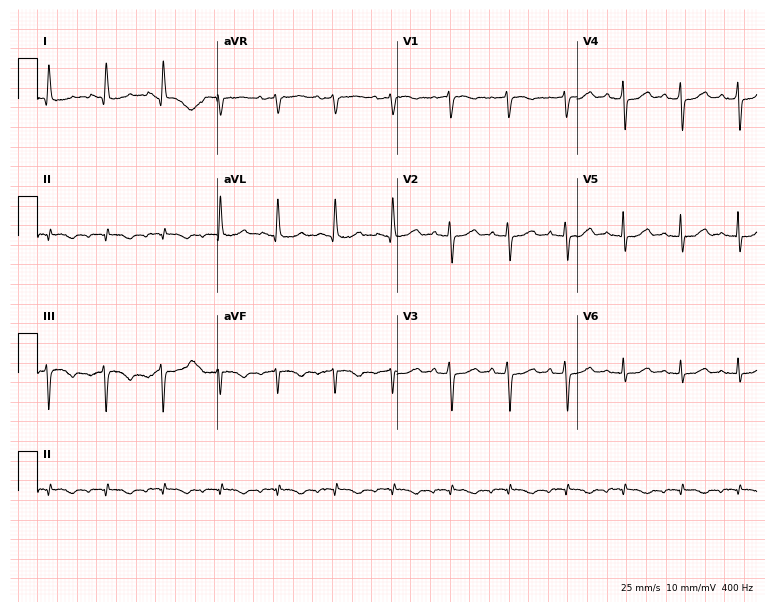
ECG (7.3-second recording at 400 Hz) — an 83-year-old female patient. Labelled as a normal ECG.